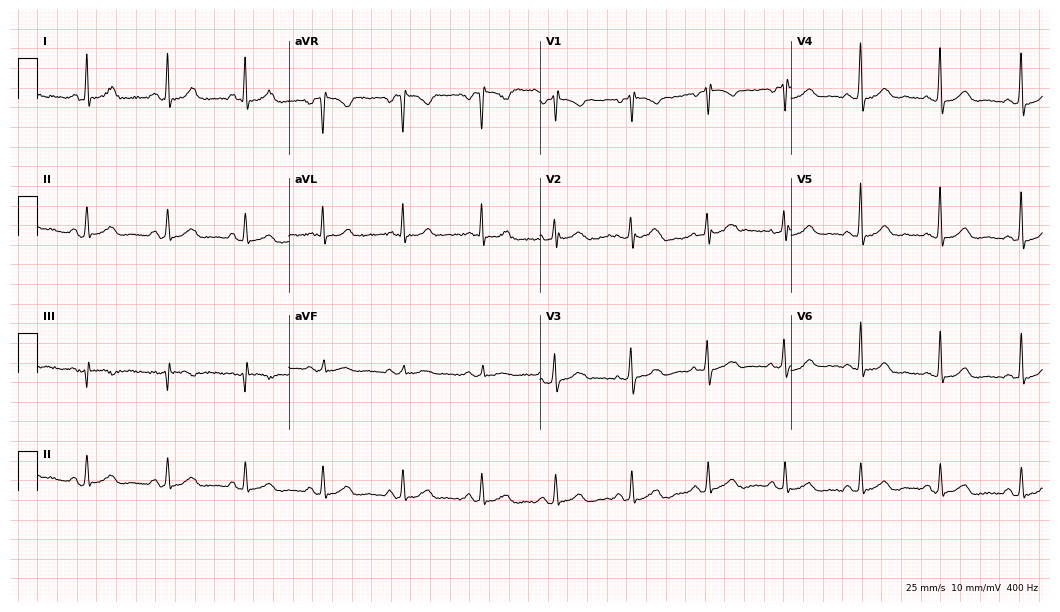
ECG — a 46-year-old female patient. Labelled as a normal ECG.